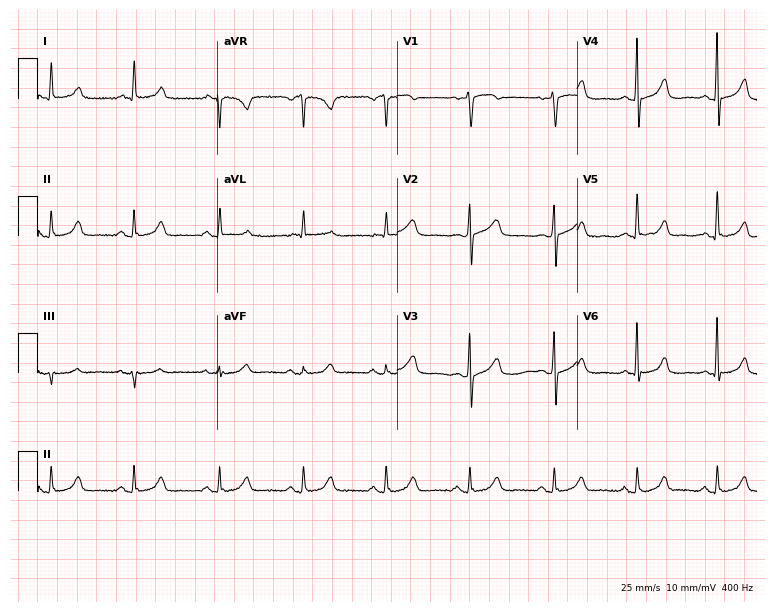
Resting 12-lead electrocardiogram (7.3-second recording at 400 Hz). Patient: a female, 64 years old. Read as a normal ECG.